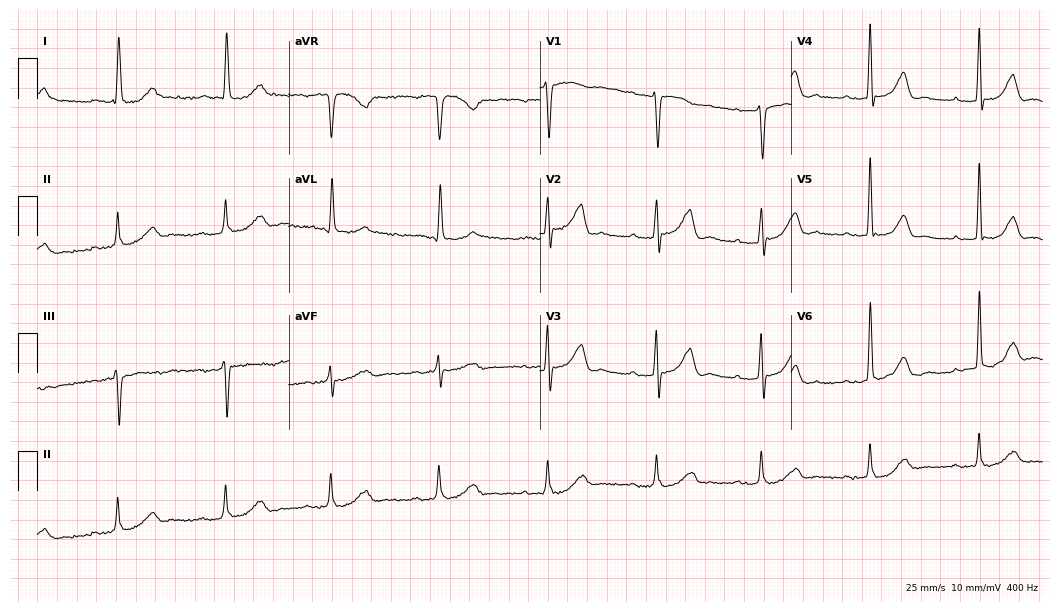
Standard 12-lead ECG recorded from an 89-year-old female. The tracing shows first-degree AV block.